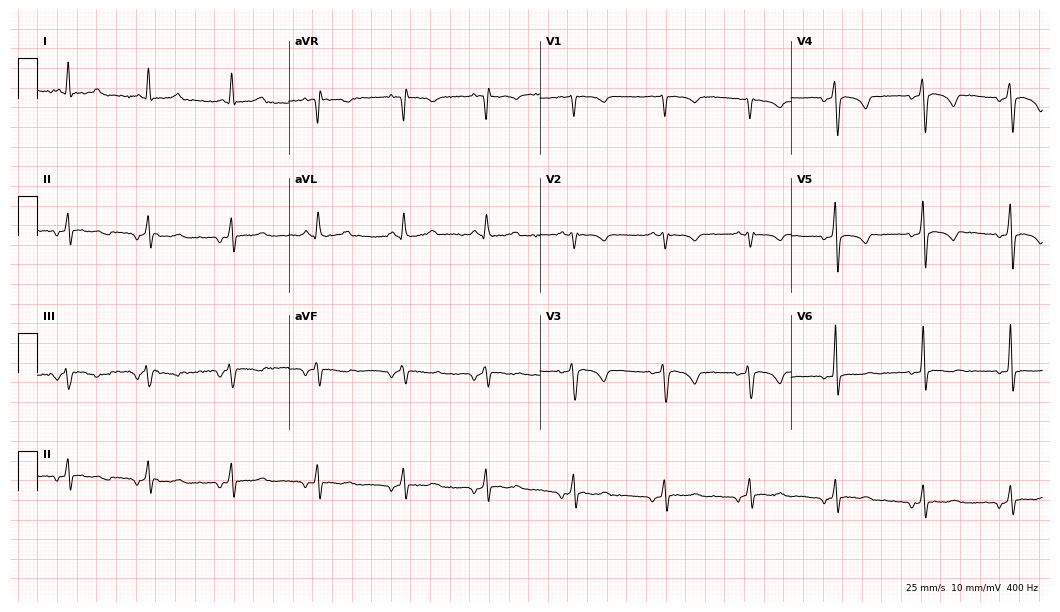
ECG (10.2-second recording at 400 Hz) — a female patient, 44 years old. Screened for six findings — first-degree AV block, right bundle branch block (RBBB), left bundle branch block (LBBB), sinus bradycardia, atrial fibrillation (AF), sinus tachycardia — none is recorded.